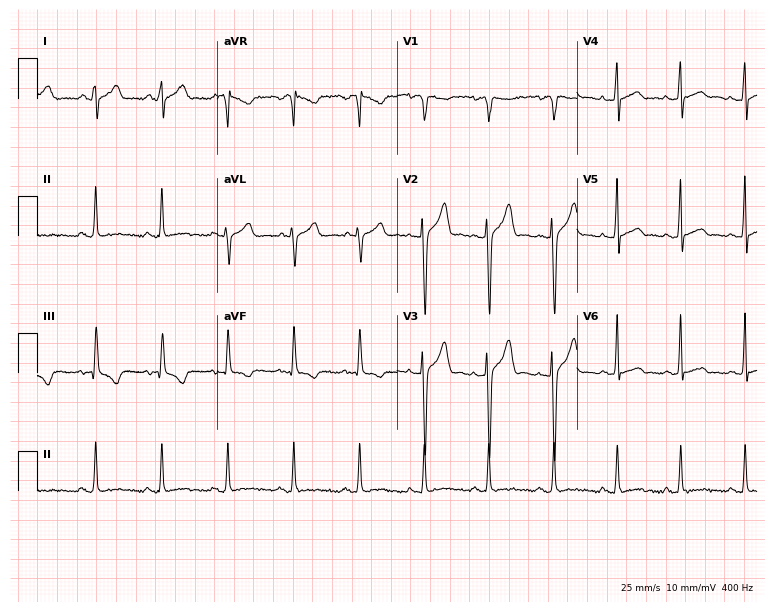
Standard 12-lead ECG recorded from a male patient, 18 years old (7.3-second recording at 400 Hz). None of these six findings is recorded: first-degree AV block, right bundle branch block (RBBB), left bundle branch block (LBBB), sinus bradycardia, atrial fibrillation (AF), sinus tachycardia.